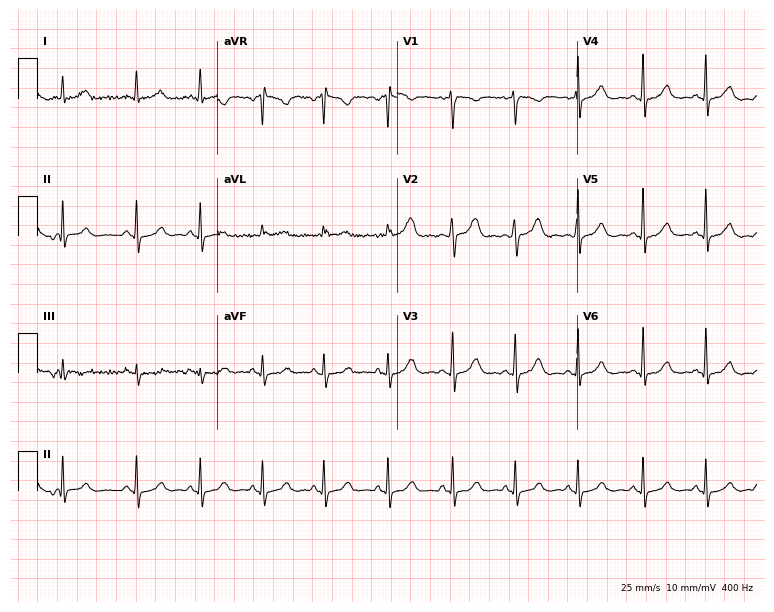
12-lead ECG from a 40-year-old female patient. Recorded interpretation: within normal limits.